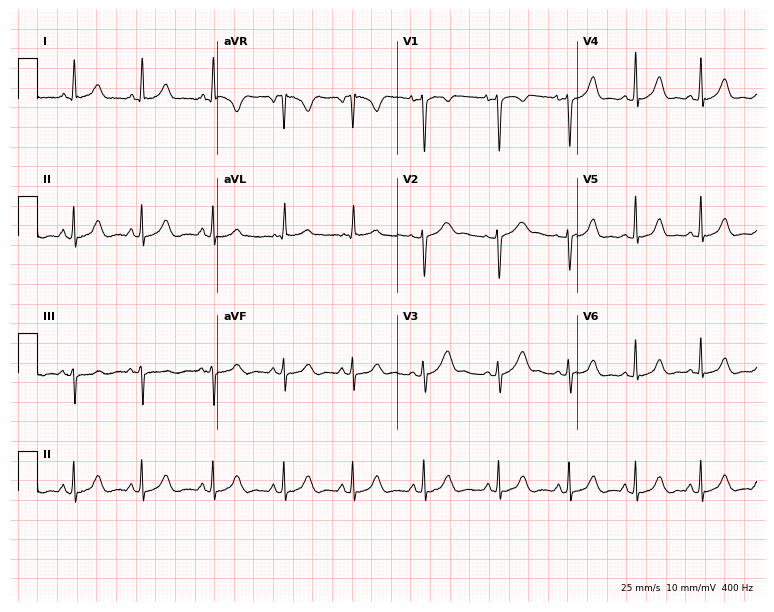
Resting 12-lead electrocardiogram. Patient: a 25-year-old female. Read as a normal ECG.